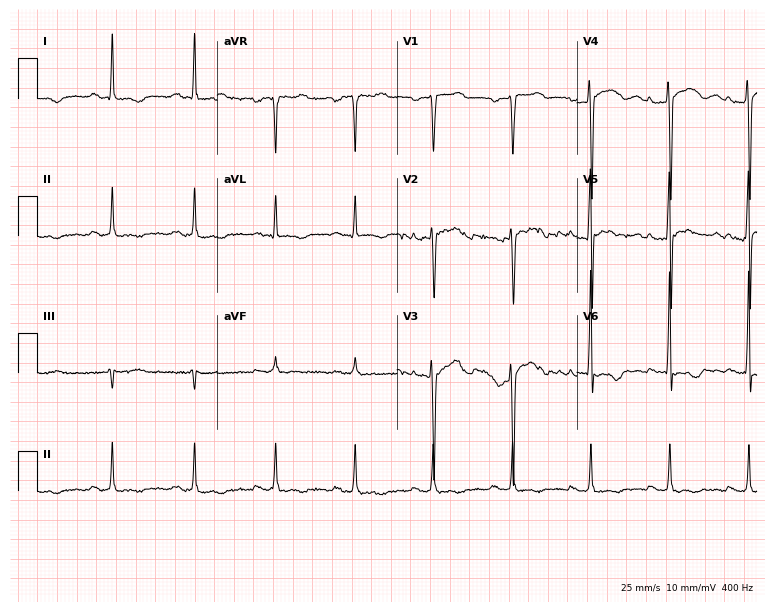
Electrocardiogram, a 33-year-old male. Of the six screened findings (first-degree AV block, right bundle branch block (RBBB), left bundle branch block (LBBB), sinus bradycardia, atrial fibrillation (AF), sinus tachycardia), none is recorded.